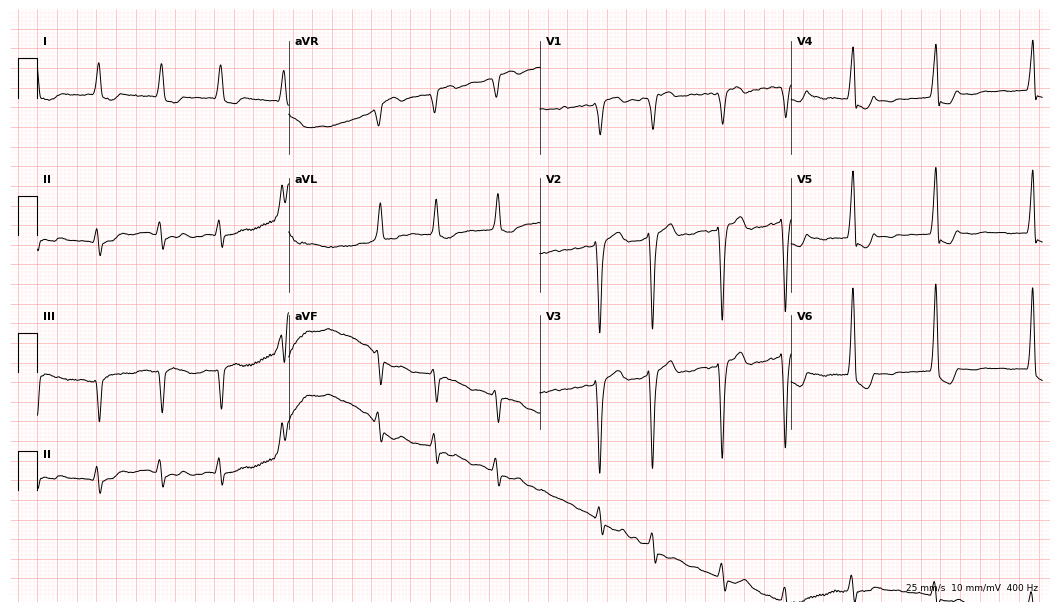
12-lead ECG from a 74-year-old woman (10.2-second recording at 400 Hz). No first-degree AV block, right bundle branch block, left bundle branch block, sinus bradycardia, atrial fibrillation or sinus tachycardia recorded for this tracing.